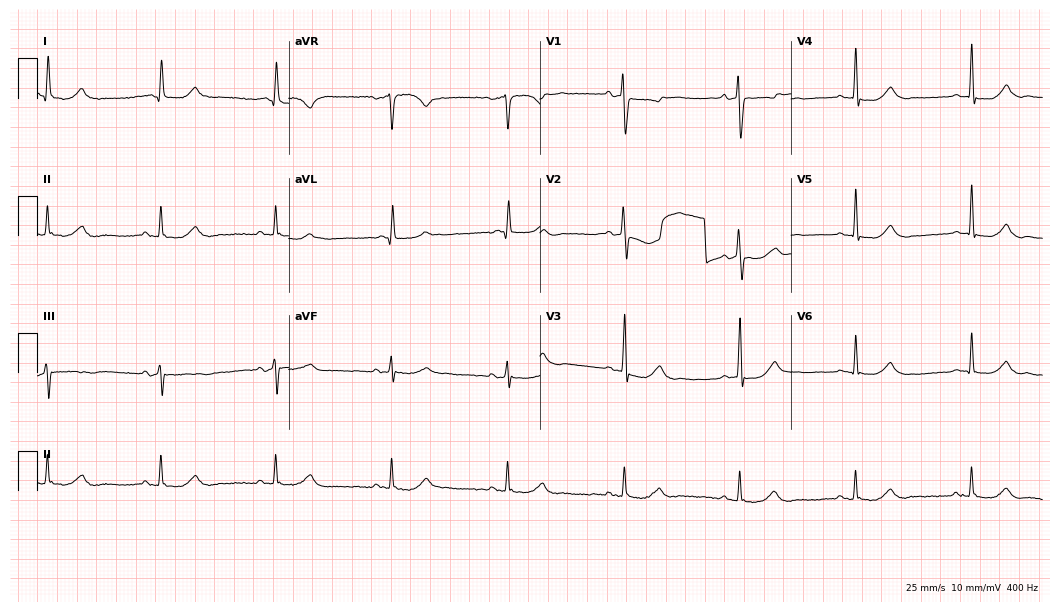
Standard 12-lead ECG recorded from a man, 62 years old. Read as a normal ECG.